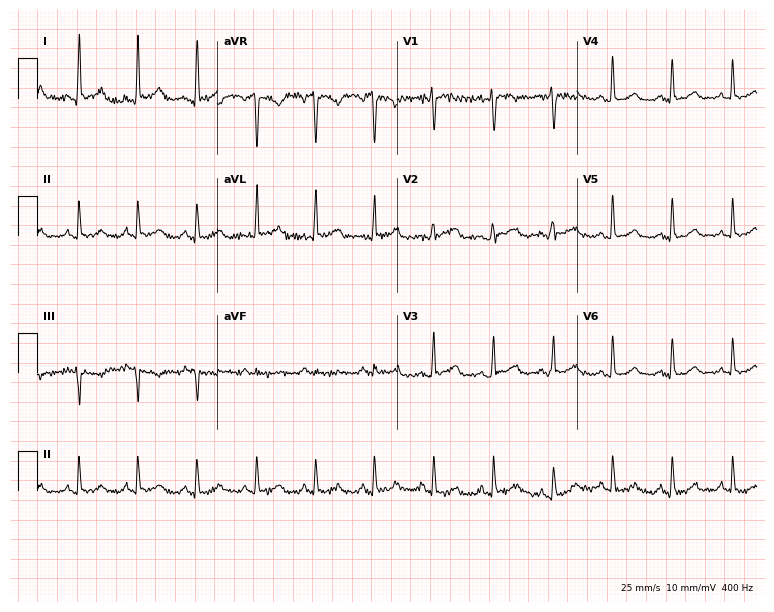
Electrocardiogram (7.3-second recording at 400 Hz), a female, 56 years old. Of the six screened findings (first-degree AV block, right bundle branch block, left bundle branch block, sinus bradycardia, atrial fibrillation, sinus tachycardia), none is recorded. Findings outside these six are not listed.